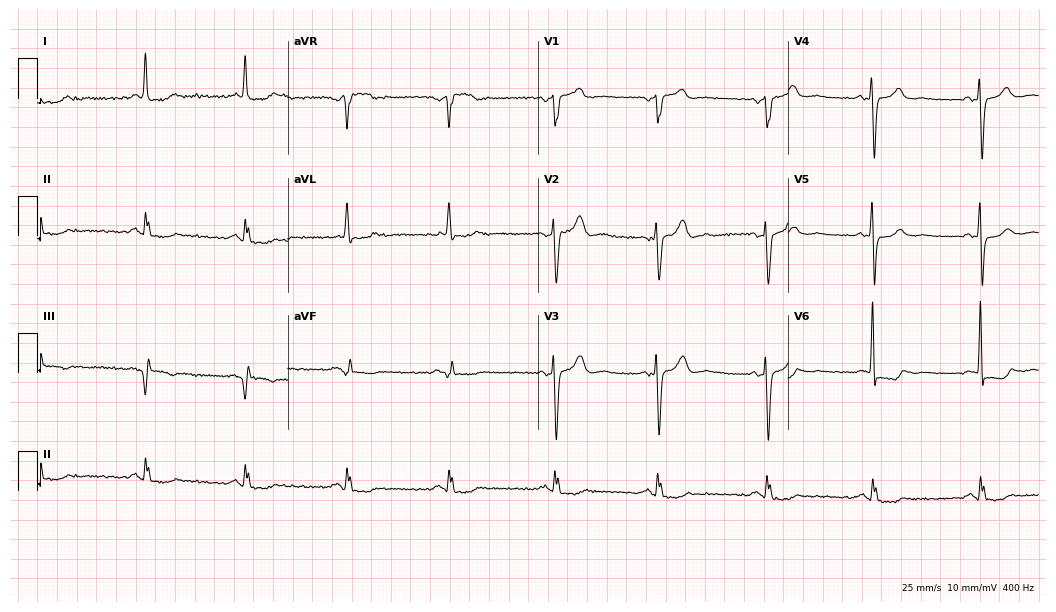
ECG (10.2-second recording at 400 Hz) — a woman, 59 years old. Screened for six findings — first-degree AV block, right bundle branch block (RBBB), left bundle branch block (LBBB), sinus bradycardia, atrial fibrillation (AF), sinus tachycardia — none is recorded. Findings outside these six are not listed.